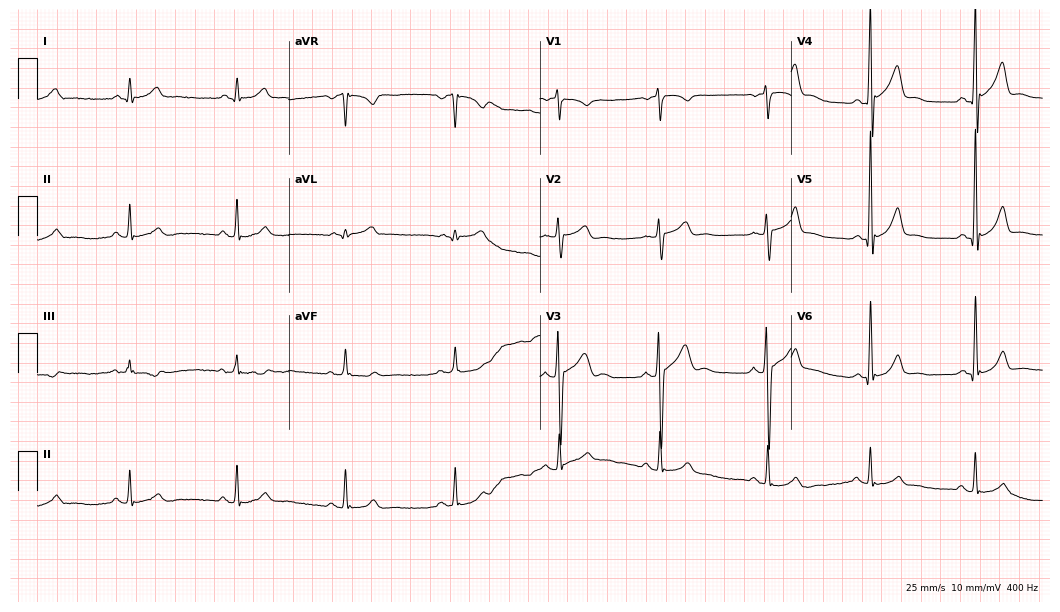
12-lead ECG from a man, 37 years old (10.2-second recording at 400 Hz). Recorded interpretation: within normal limits.